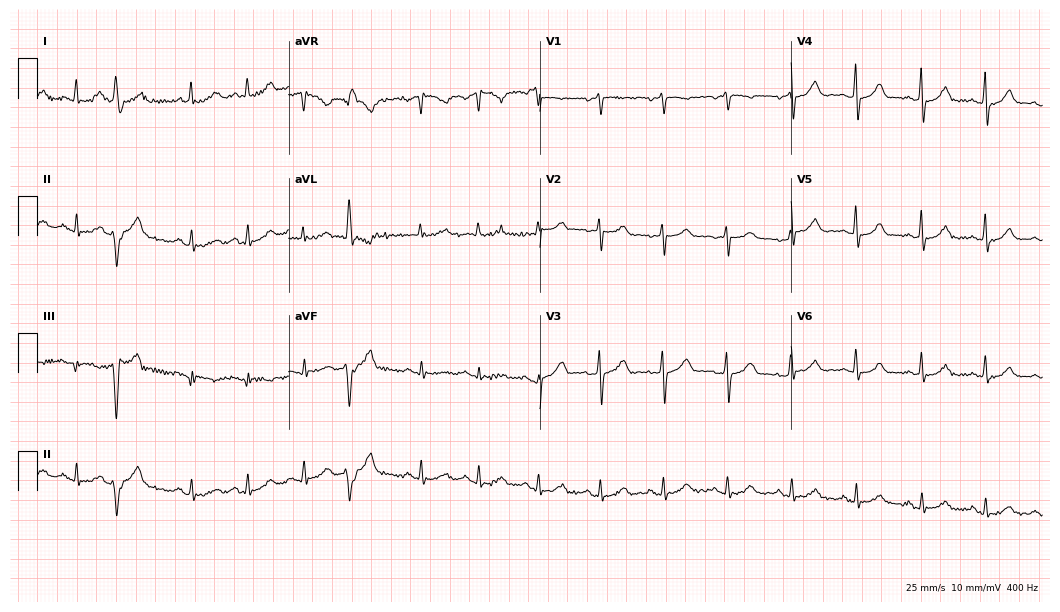
Standard 12-lead ECG recorded from a 52-year-old female patient. None of these six findings is recorded: first-degree AV block, right bundle branch block, left bundle branch block, sinus bradycardia, atrial fibrillation, sinus tachycardia.